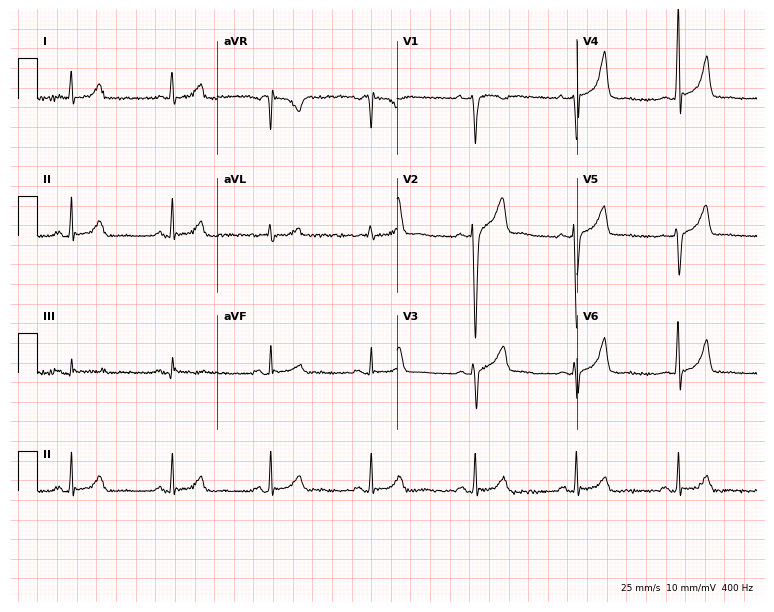
12-lead ECG from a 41-year-old male. Recorded interpretation: within normal limits.